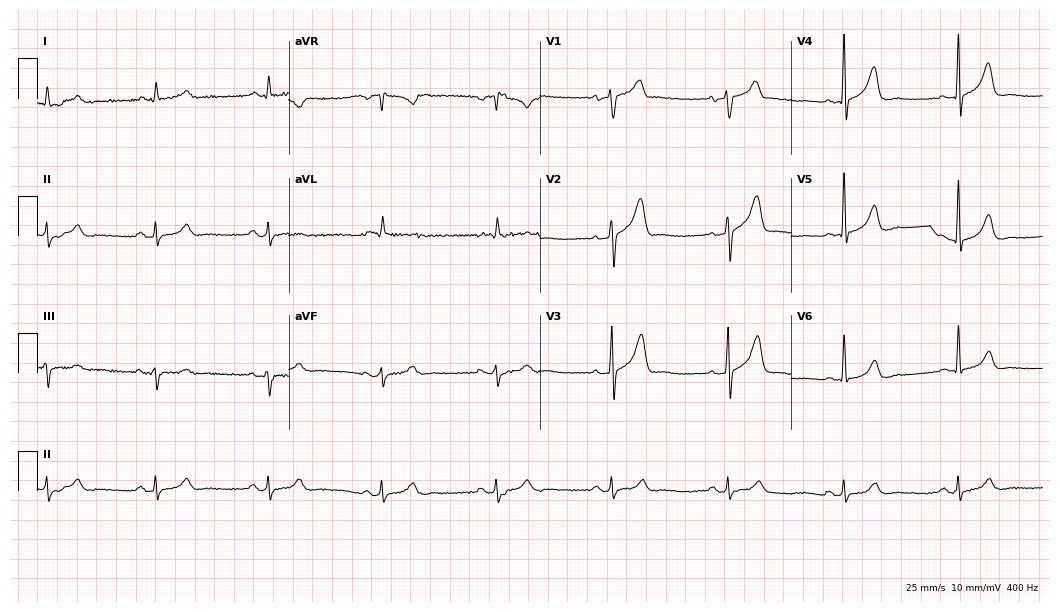
12-lead ECG (10.2-second recording at 400 Hz) from a 74-year-old male patient. Labelled as a normal ECG.